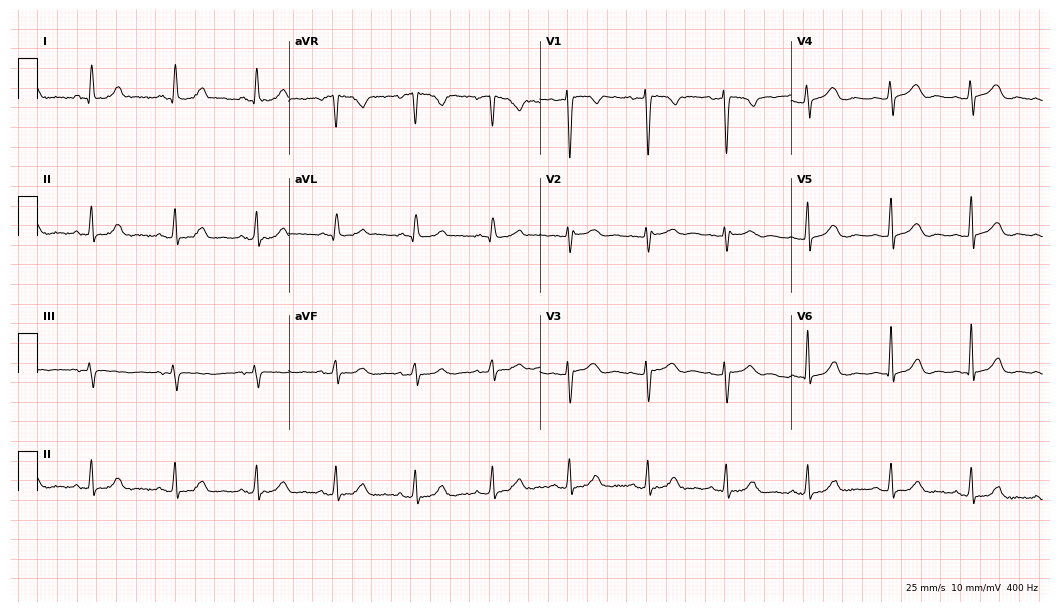
12-lead ECG from a 46-year-old female patient. Recorded interpretation: within normal limits.